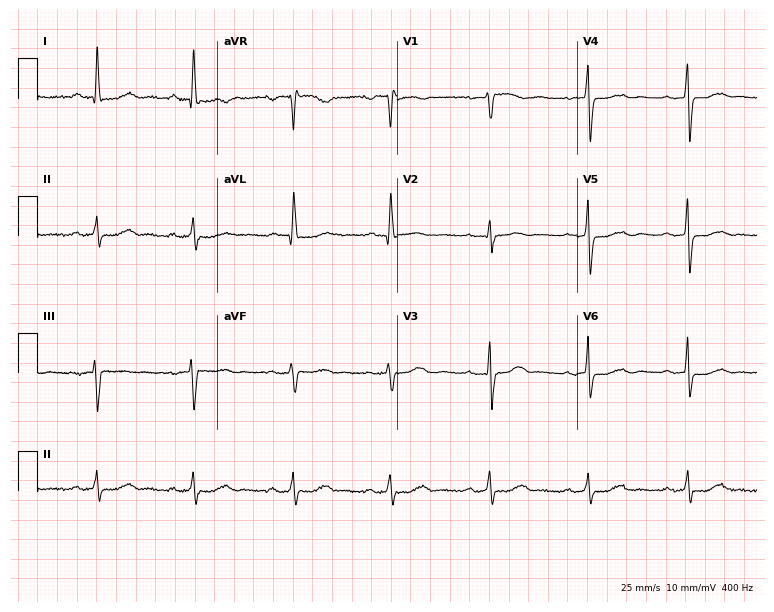
ECG — a female, 61 years old. Screened for six findings — first-degree AV block, right bundle branch block, left bundle branch block, sinus bradycardia, atrial fibrillation, sinus tachycardia — none is recorded.